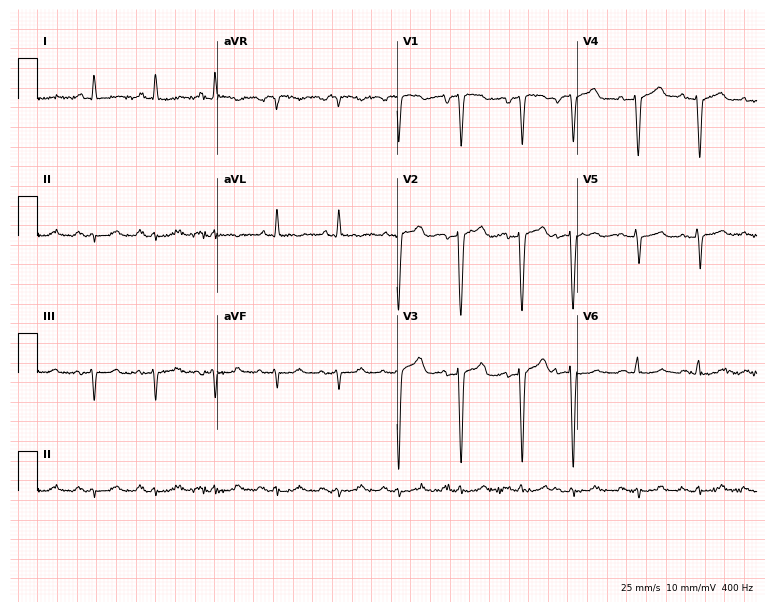
Resting 12-lead electrocardiogram. Patient: an 82-year-old man. None of these six findings is recorded: first-degree AV block, right bundle branch block, left bundle branch block, sinus bradycardia, atrial fibrillation, sinus tachycardia.